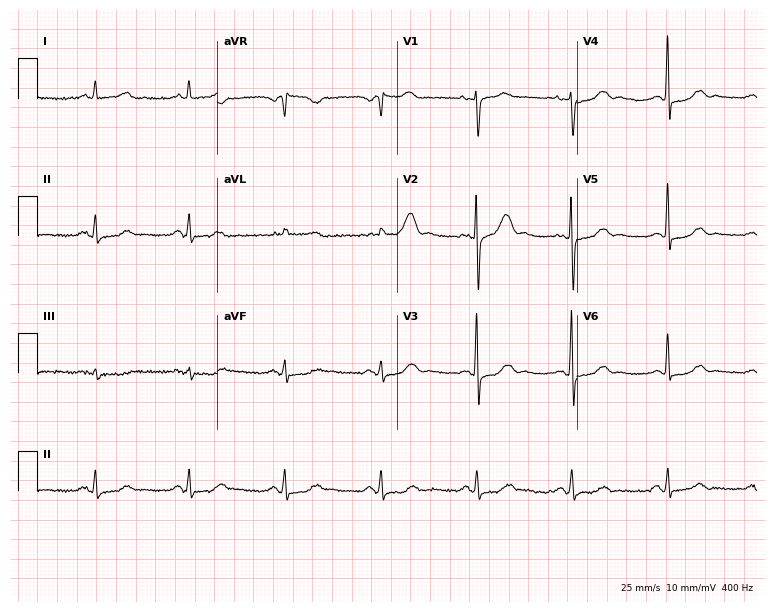
ECG (7.3-second recording at 400 Hz) — a 61-year-old female. Screened for six findings — first-degree AV block, right bundle branch block, left bundle branch block, sinus bradycardia, atrial fibrillation, sinus tachycardia — none is recorded. Findings outside these six are not listed.